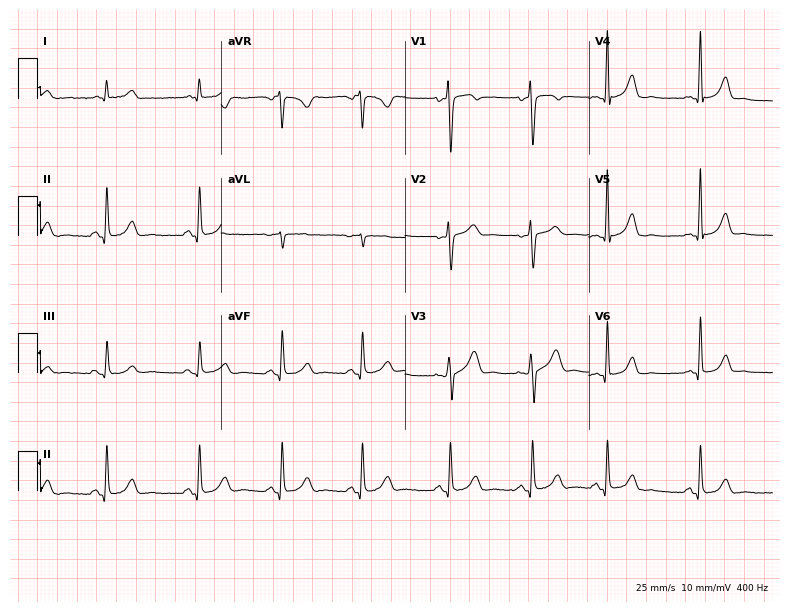
Standard 12-lead ECG recorded from a woman, 34 years old. Read as a normal ECG.